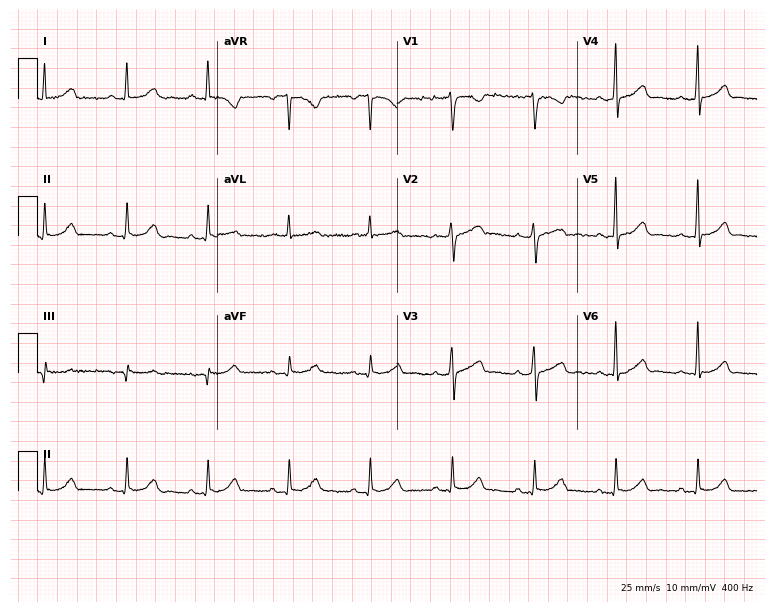
12-lead ECG from a 51-year-old female patient. No first-degree AV block, right bundle branch block, left bundle branch block, sinus bradycardia, atrial fibrillation or sinus tachycardia recorded for this tracing.